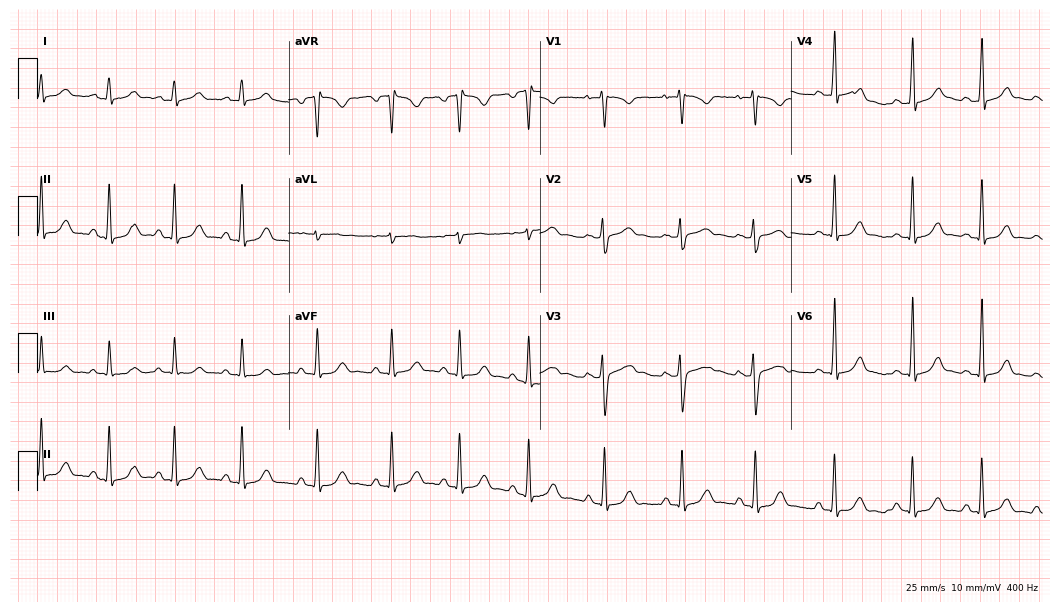
12-lead ECG from a female, 19 years old. No first-degree AV block, right bundle branch block, left bundle branch block, sinus bradycardia, atrial fibrillation or sinus tachycardia recorded for this tracing.